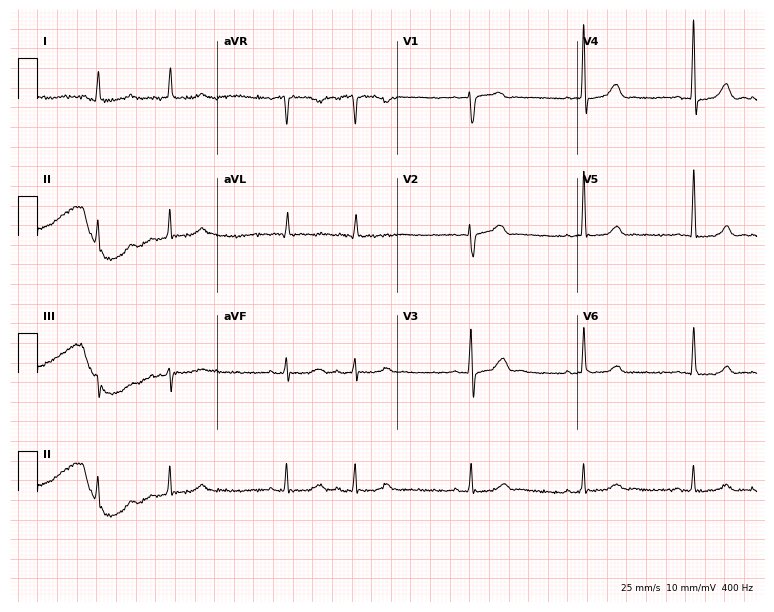
Standard 12-lead ECG recorded from a man, 83 years old (7.3-second recording at 400 Hz). None of these six findings is recorded: first-degree AV block, right bundle branch block, left bundle branch block, sinus bradycardia, atrial fibrillation, sinus tachycardia.